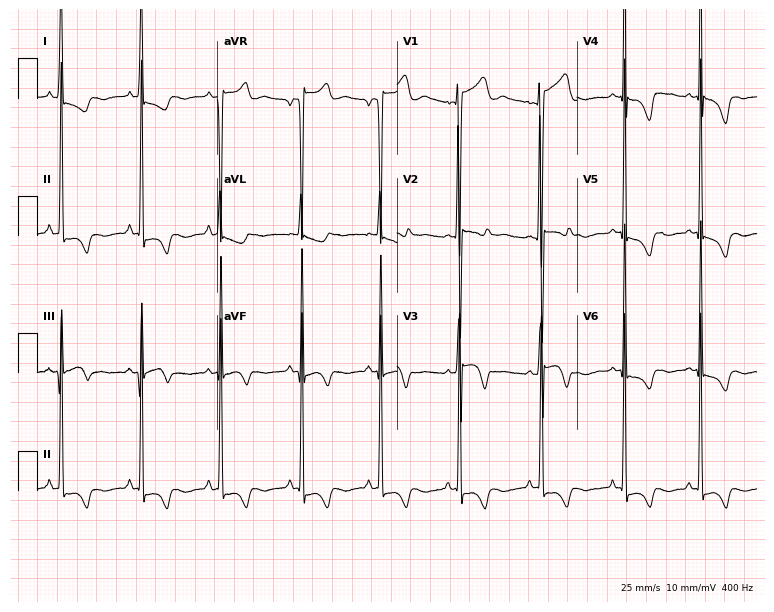
ECG — a woman, 20 years old. Screened for six findings — first-degree AV block, right bundle branch block (RBBB), left bundle branch block (LBBB), sinus bradycardia, atrial fibrillation (AF), sinus tachycardia — none is recorded.